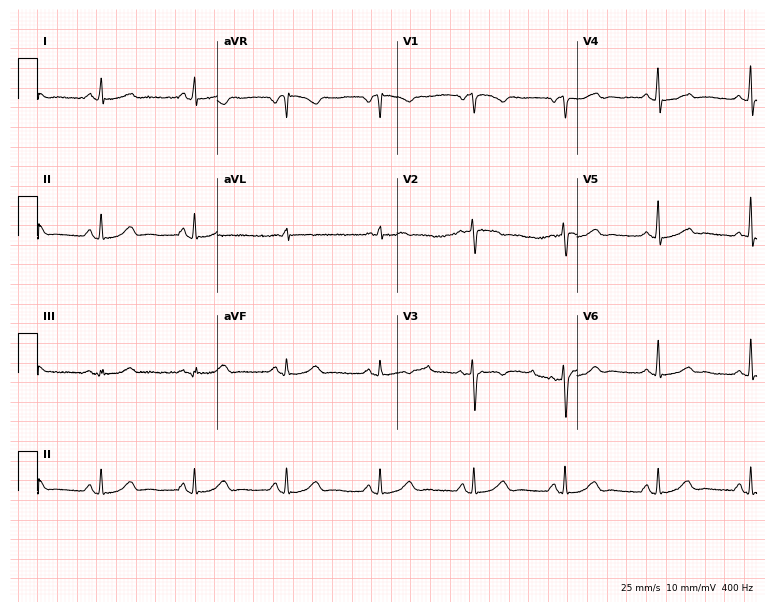
ECG — a 58-year-old woman. Labelled as a normal ECG.